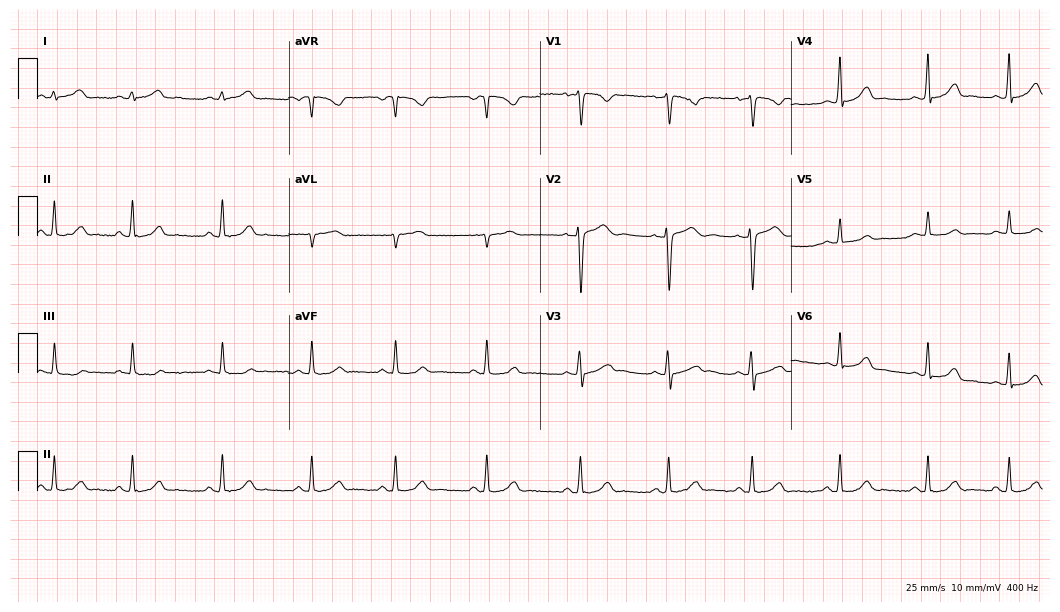
Resting 12-lead electrocardiogram (10.2-second recording at 400 Hz). Patient: a female, 22 years old. Read as a normal ECG.